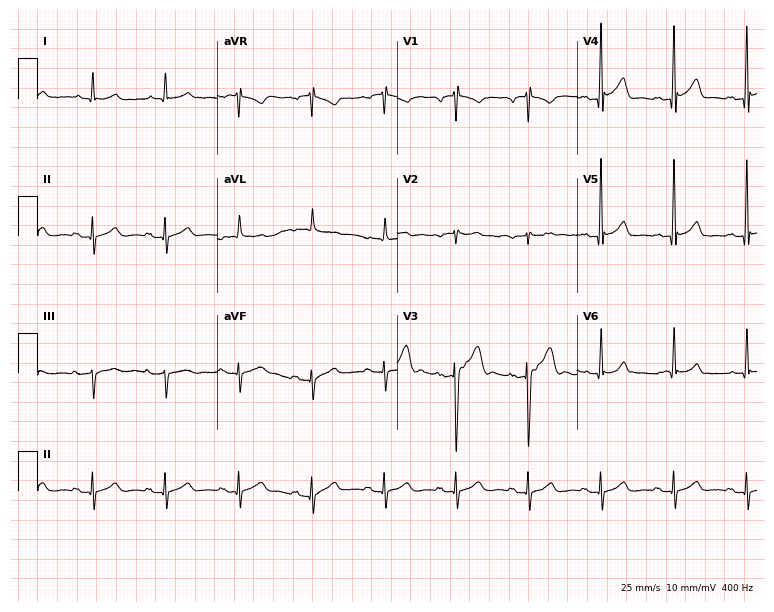
Electrocardiogram, a 66-year-old male. Of the six screened findings (first-degree AV block, right bundle branch block (RBBB), left bundle branch block (LBBB), sinus bradycardia, atrial fibrillation (AF), sinus tachycardia), none is recorded. Other findings, if any, are not listed.